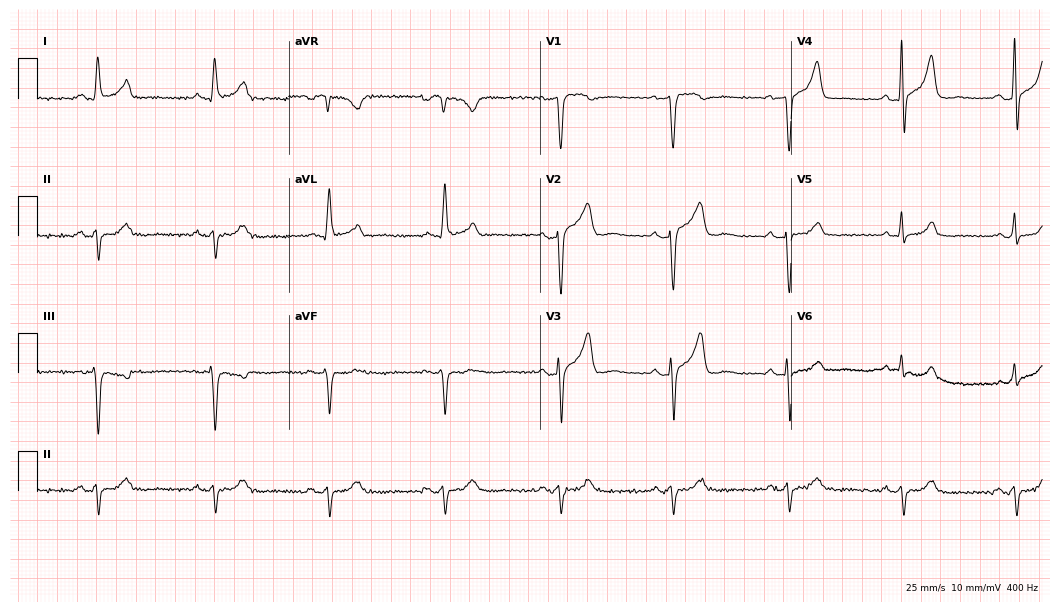
ECG — a 64-year-old male. Screened for six findings — first-degree AV block, right bundle branch block, left bundle branch block, sinus bradycardia, atrial fibrillation, sinus tachycardia — none is recorded.